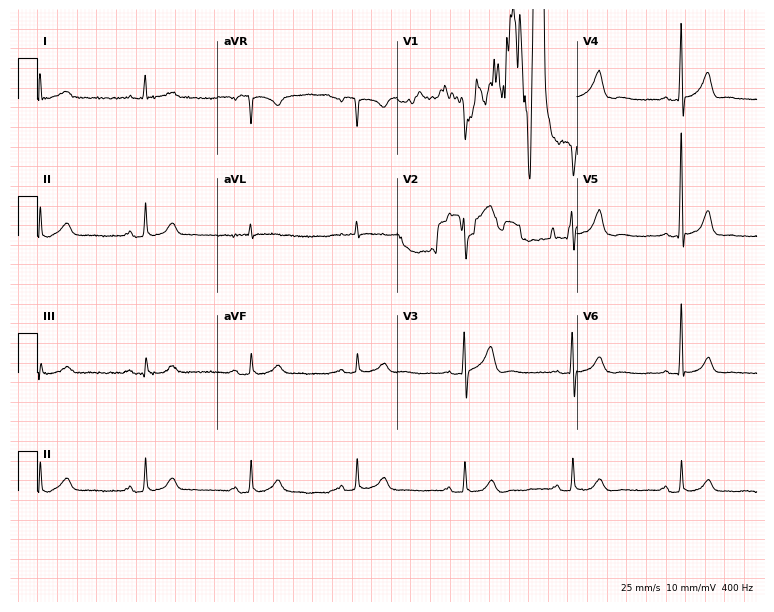
12-lead ECG from a female patient, 74 years old. No first-degree AV block, right bundle branch block (RBBB), left bundle branch block (LBBB), sinus bradycardia, atrial fibrillation (AF) or sinus tachycardia recorded for this tracing. Findings outside these six are not listed.